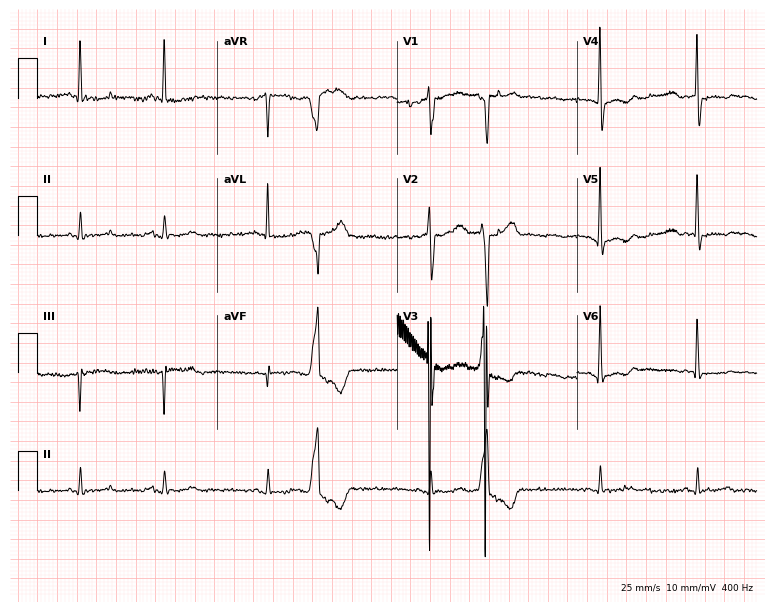
12-lead ECG (7.3-second recording at 400 Hz) from a 21-year-old male. Screened for six findings — first-degree AV block, right bundle branch block, left bundle branch block, sinus bradycardia, atrial fibrillation, sinus tachycardia — none is recorded.